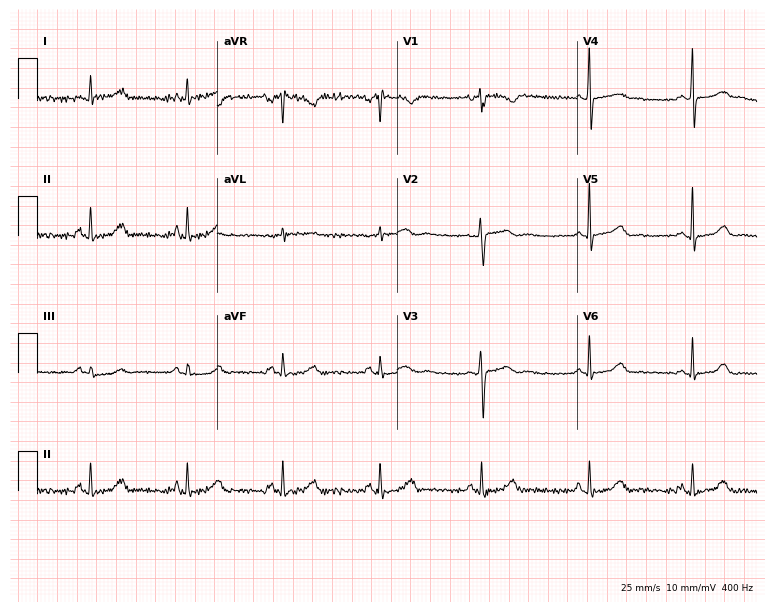
ECG — a female patient, 39 years old. Labelled as a normal ECG.